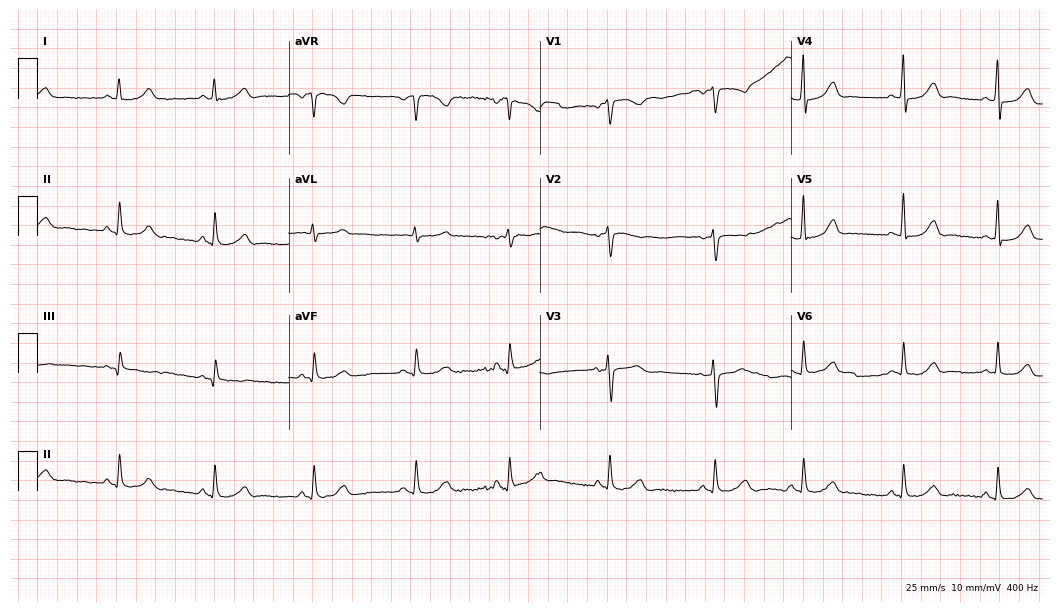
ECG — a woman, 48 years old. Labelled as a normal ECG.